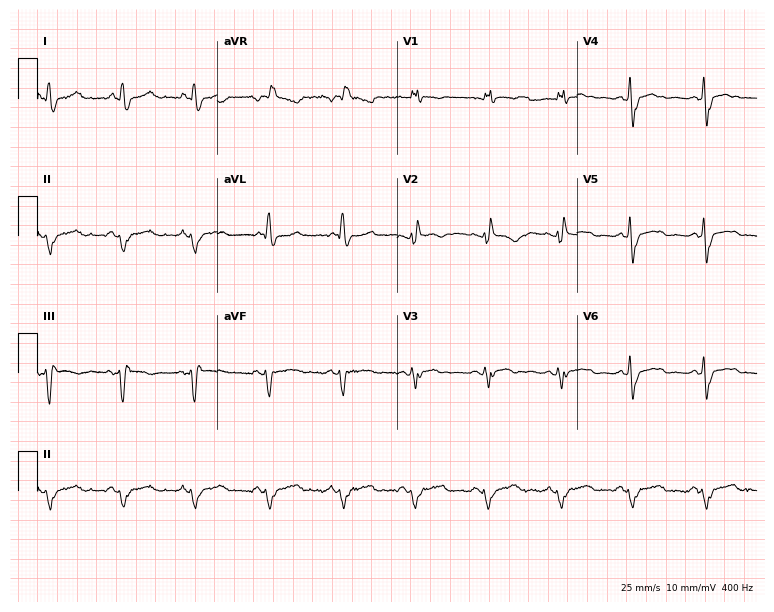
Electrocardiogram (7.3-second recording at 400 Hz), a 63-year-old female patient. Interpretation includes right bundle branch block.